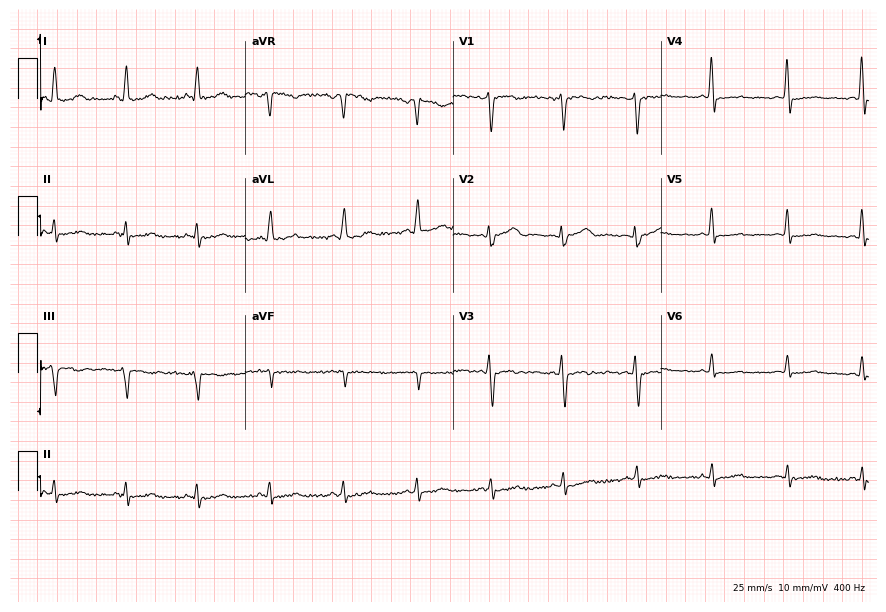
Standard 12-lead ECG recorded from a female patient, 46 years old (8.5-second recording at 400 Hz). None of these six findings is recorded: first-degree AV block, right bundle branch block, left bundle branch block, sinus bradycardia, atrial fibrillation, sinus tachycardia. Other findings, if any, are not listed.